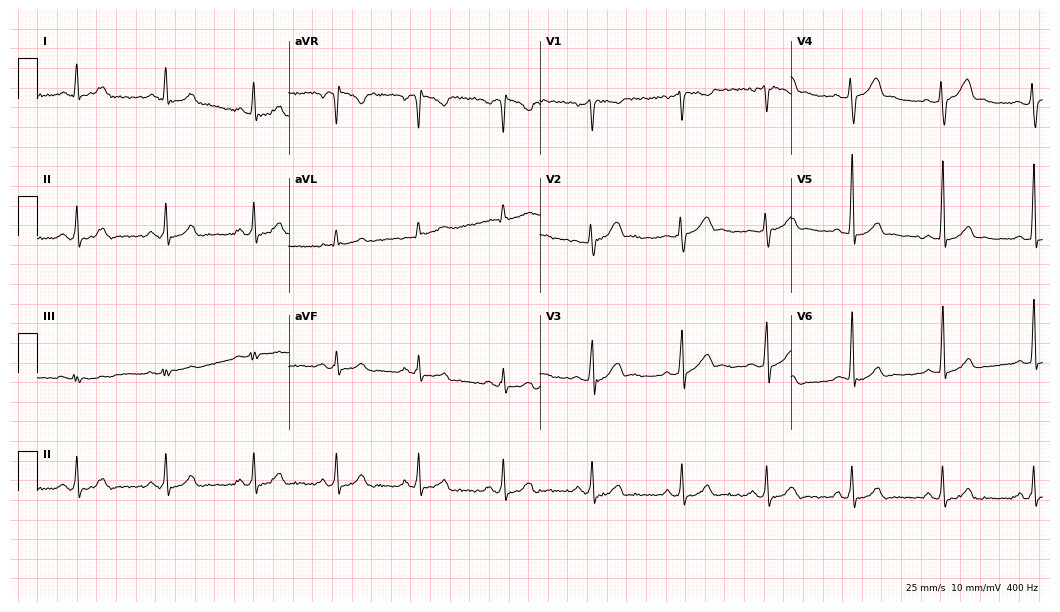
12-lead ECG (10.2-second recording at 400 Hz) from a man, 35 years old. Labelled as a normal ECG.